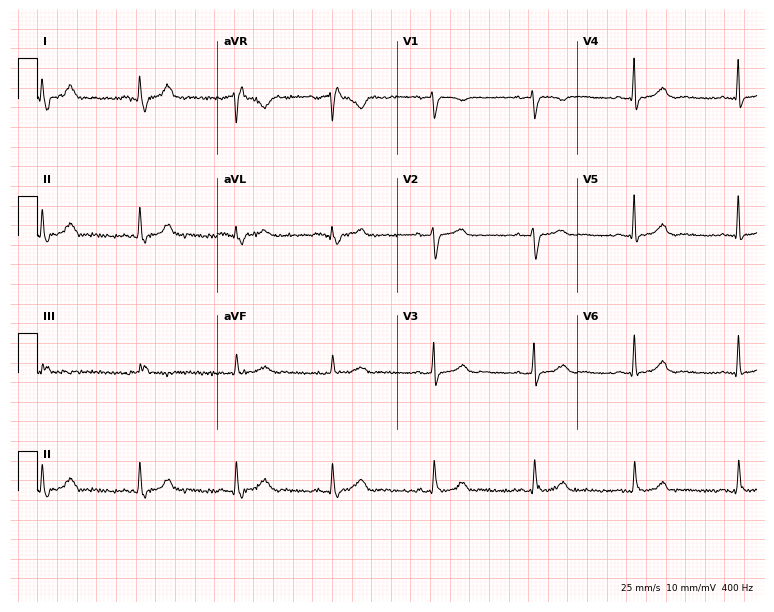
ECG (7.3-second recording at 400 Hz) — a woman, 46 years old. Findings include right bundle branch block.